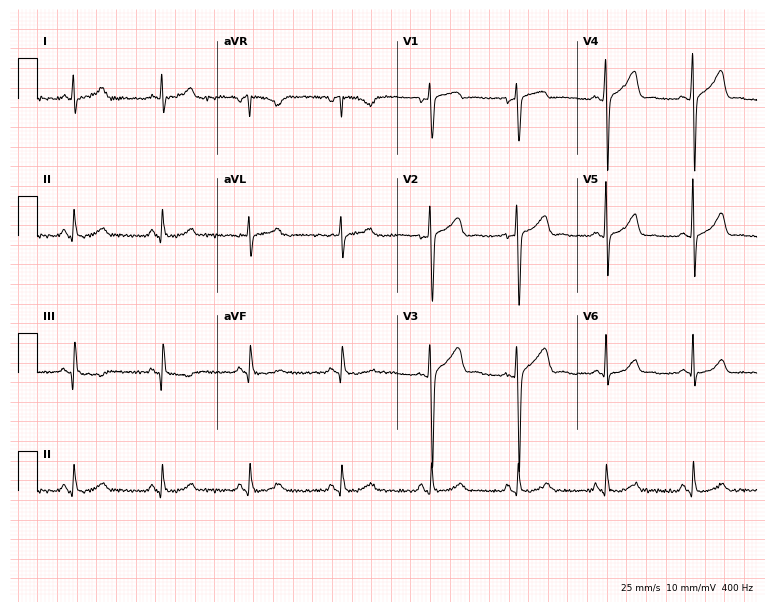
Resting 12-lead electrocardiogram. Patient: a 39-year-old male. None of these six findings is recorded: first-degree AV block, right bundle branch block, left bundle branch block, sinus bradycardia, atrial fibrillation, sinus tachycardia.